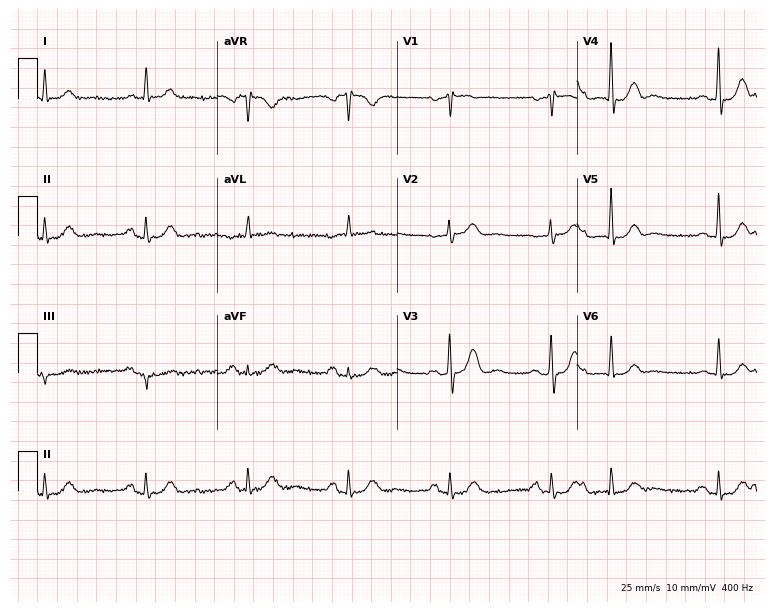
12-lead ECG from a woman, 68 years old (7.3-second recording at 400 Hz). Recorded interpretation: within normal limits.